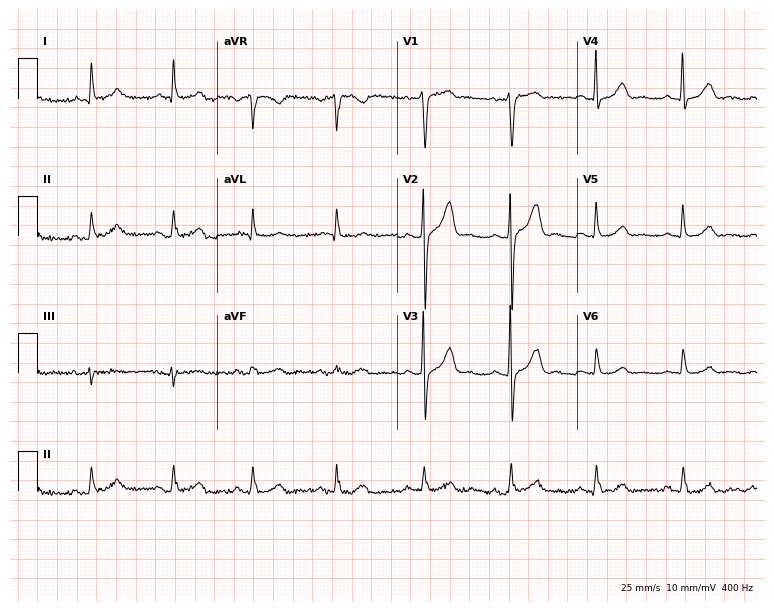
Resting 12-lead electrocardiogram. Patient: a man, 68 years old. Read as a normal ECG.